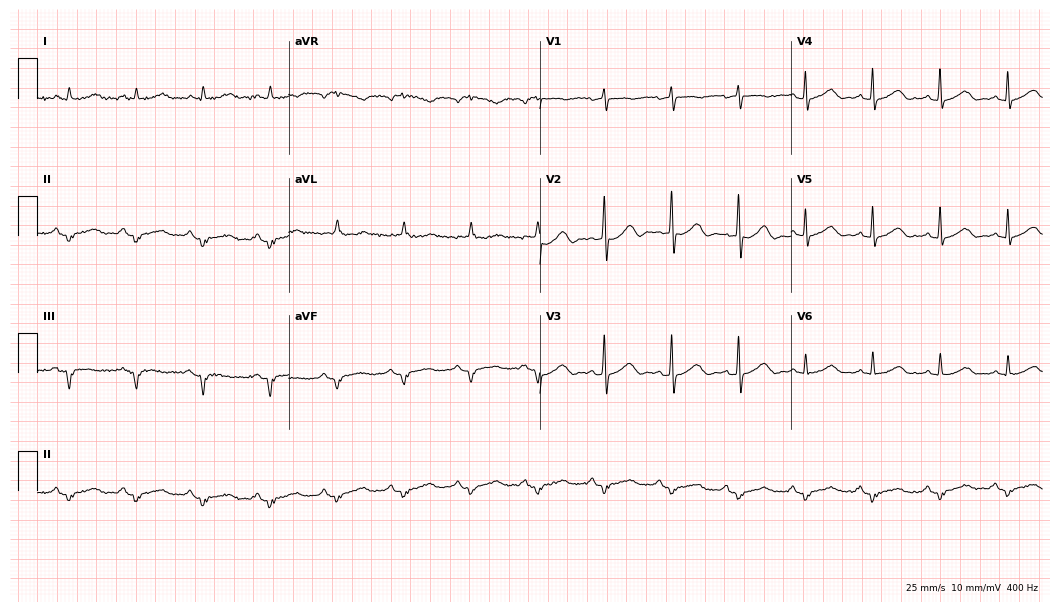
12-lead ECG from a 63-year-old female. Screened for six findings — first-degree AV block, right bundle branch block, left bundle branch block, sinus bradycardia, atrial fibrillation, sinus tachycardia — none is recorded.